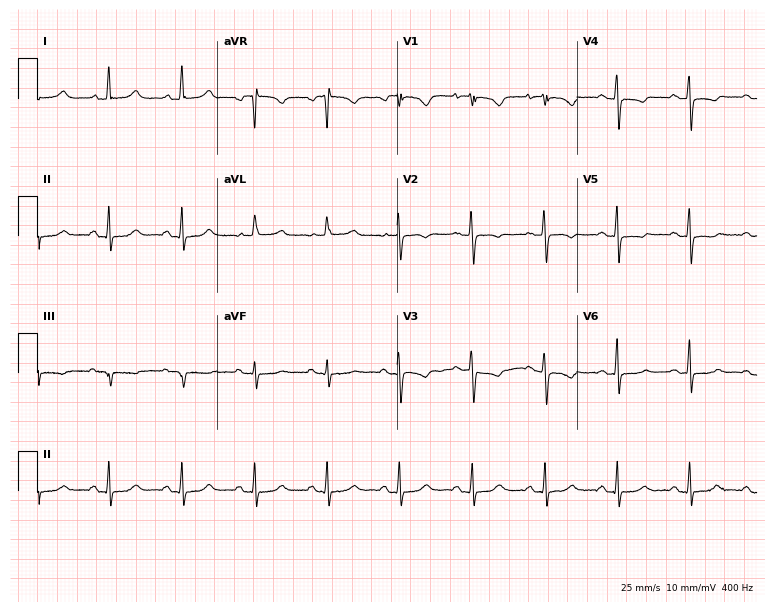
12-lead ECG from a 69-year-old female patient. Screened for six findings — first-degree AV block, right bundle branch block, left bundle branch block, sinus bradycardia, atrial fibrillation, sinus tachycardia — none is recorded. Findings outside these six are not listed.